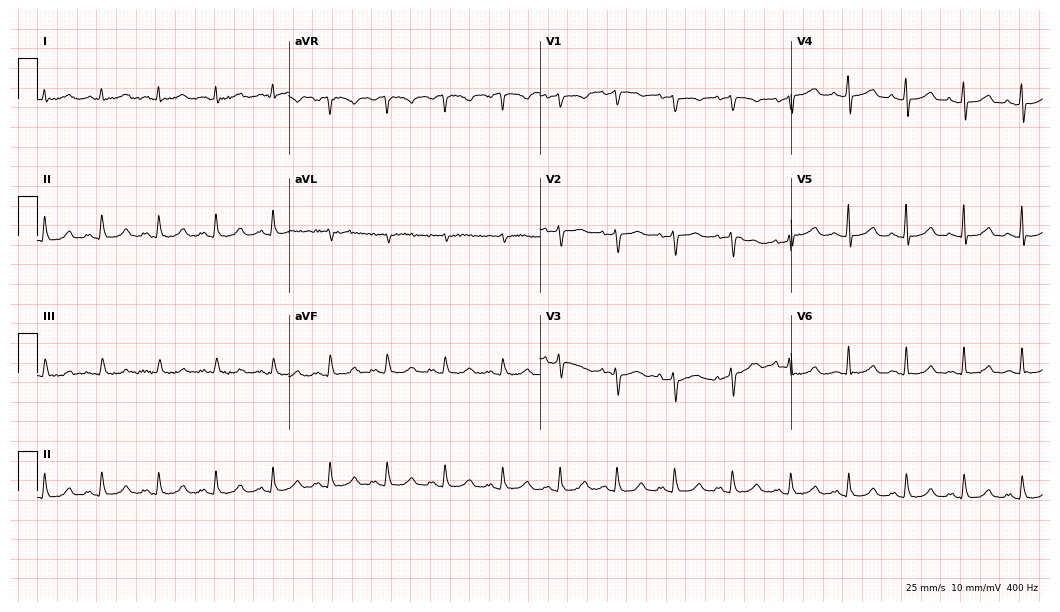
12-lead ECG (10.2-second recording at 400 Hz) from a woman, 61 years old. Findings include sinus tachycardia (a sinus rate of 100 beats per minute or more).